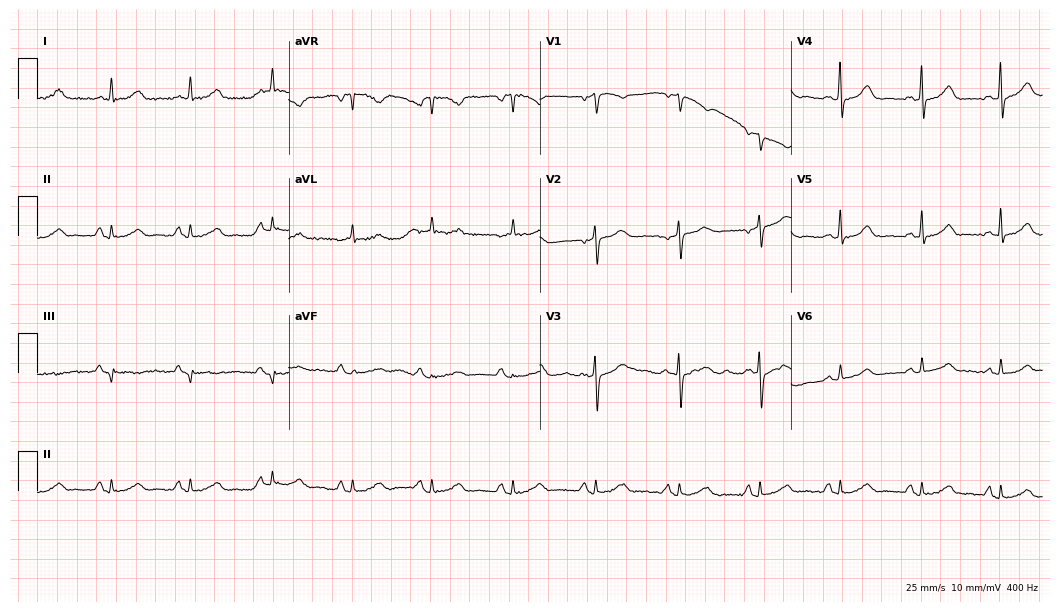
Electrocardiogram, a 65-year-old woman. Of the six screened findings (first-degree AV block, right bundle branch block, left bundle branch block, sinus bradycardia, atrial fibrillation, sinus tachycardia), none is recorded.